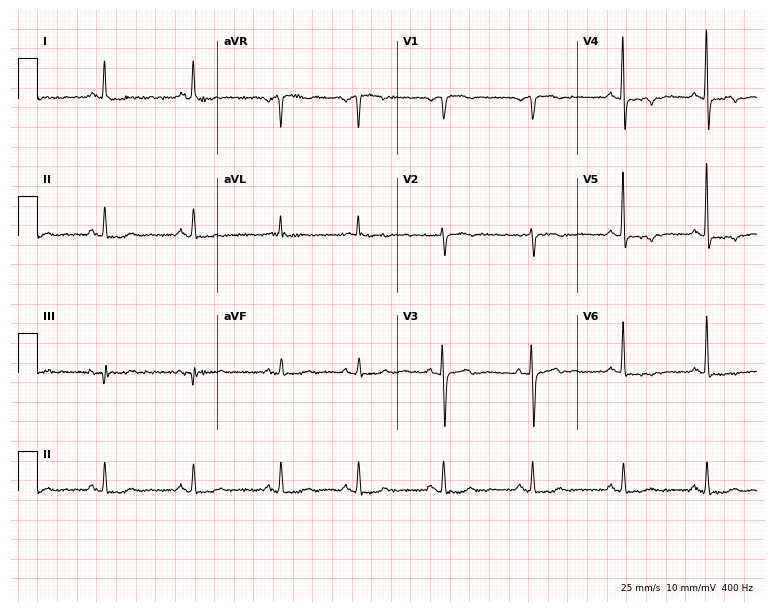
12-lead ECG (7.3-second recording at 400 Hz) from a female, 72 years old. Screened for six findings — first-degree AV block, right bundle branch block, left bundle branch block, sinus bradycardia, atrial fibrillation, sinus tachycardia — none is recorded.